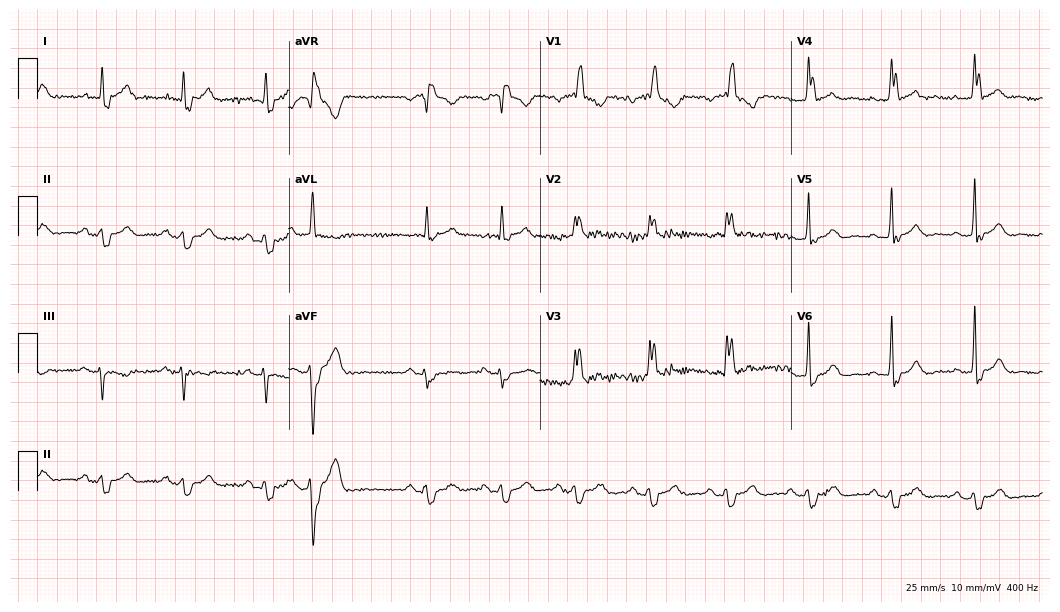
ECG — a man, 54 years old. Findings include right bundle branch block (RBBB).